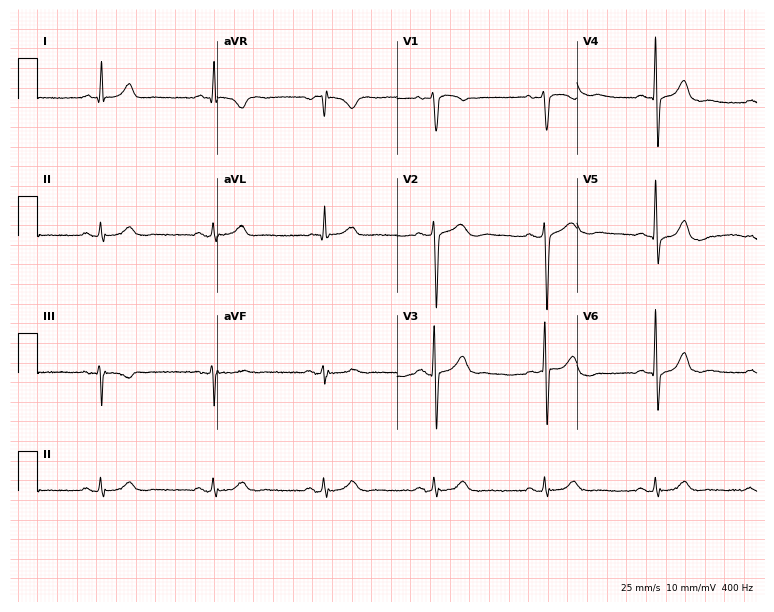
ECG — a 75-year-old male. Labelled as a normal ECG.